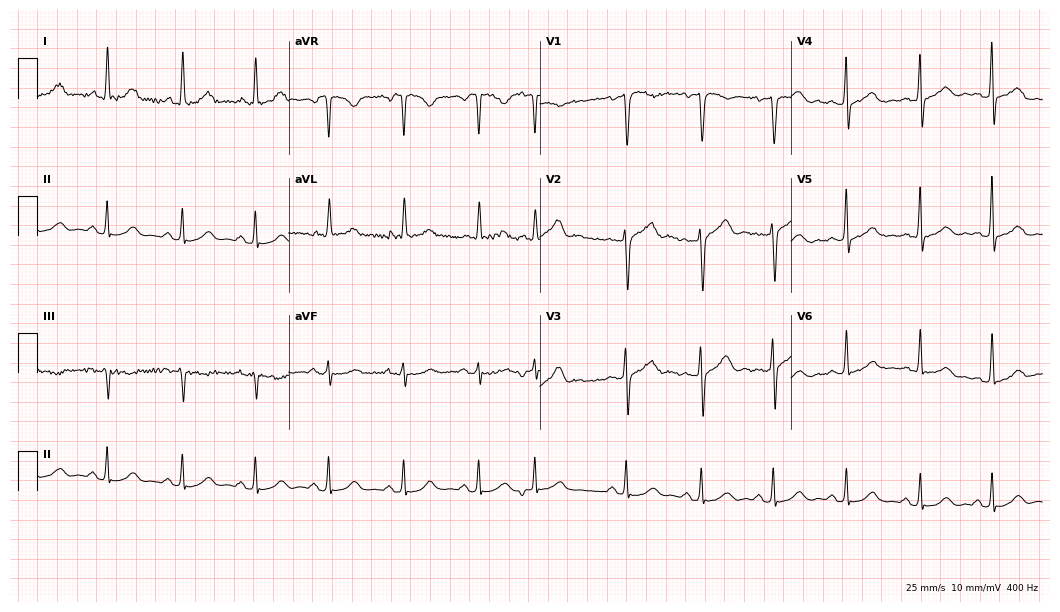
Electrocardiogram (10.2-second recording at 400 Hz), a 63-year-old female. Overall reading on record: normal ECG.